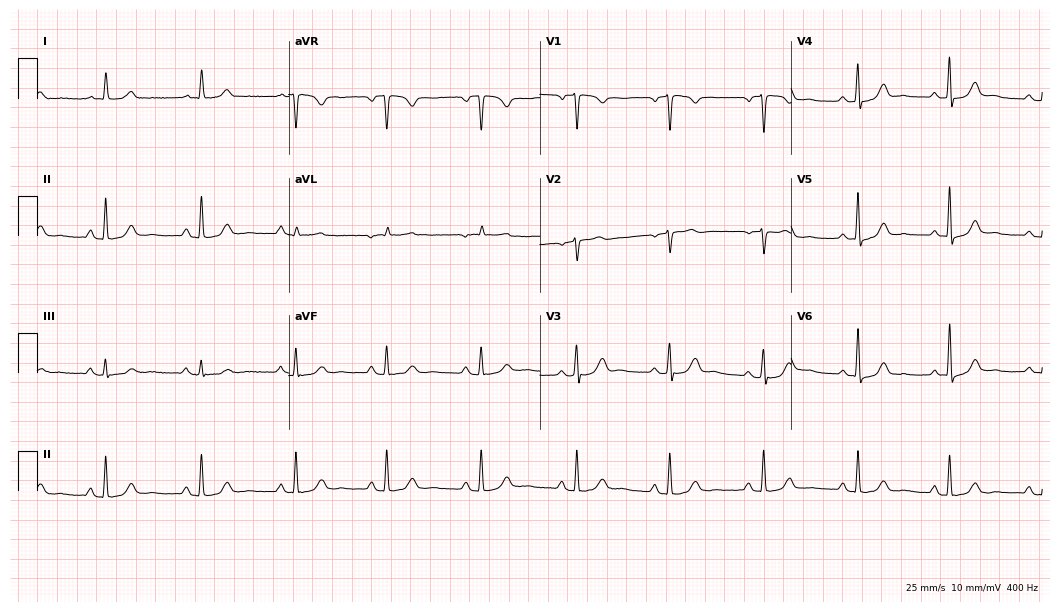
Electrocardiogram (10.2-second recording at 400 Hz), a 52-year-old woman. Overall reading on record: normal ECG.